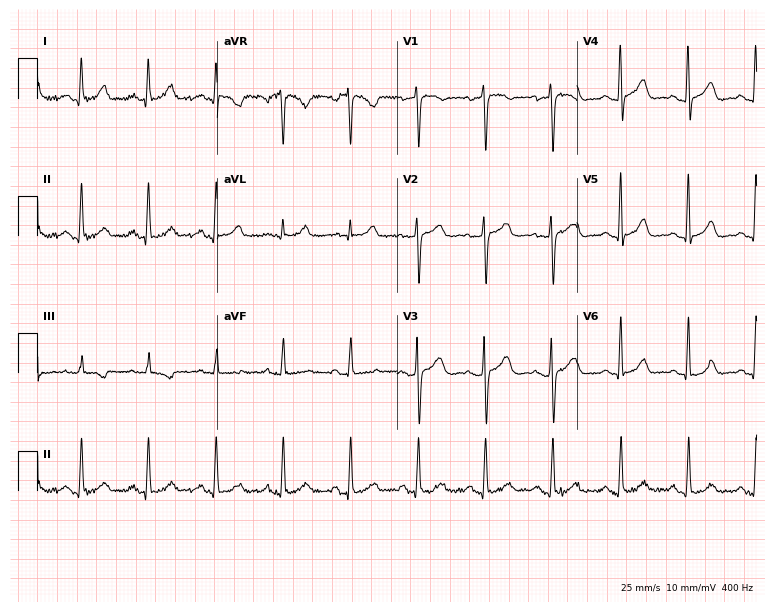
Resting 12-lead electrocardiogram (7.3-second recording at 400 Hz). Patient: a 45-year-old female. Read as a normal ECG.